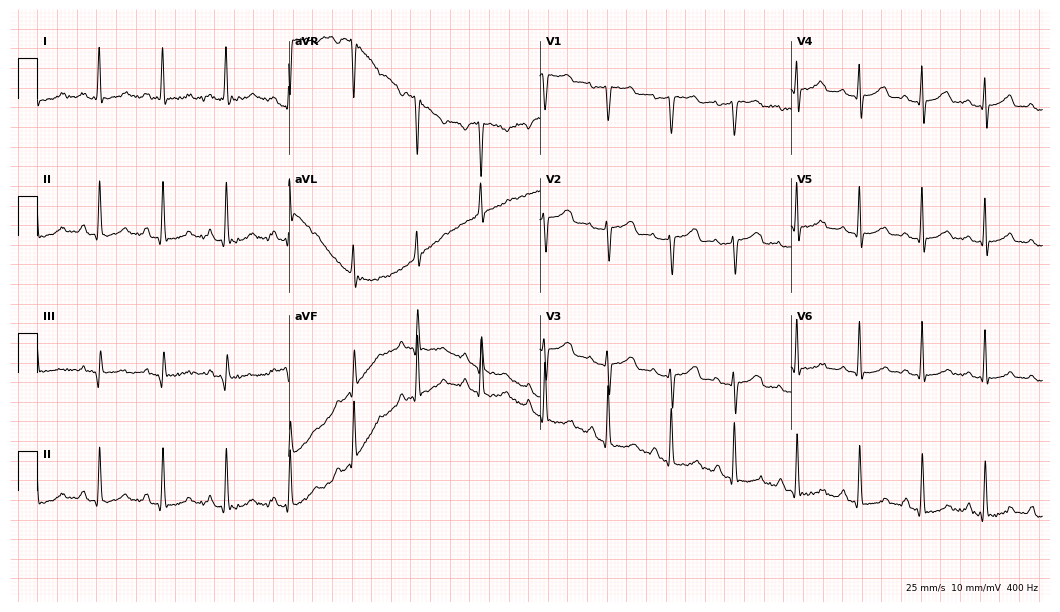
Electrocardiogram (10.2-second recording at 400 Hz), a 46-year-old female. Overall reading on record: normal ECG.